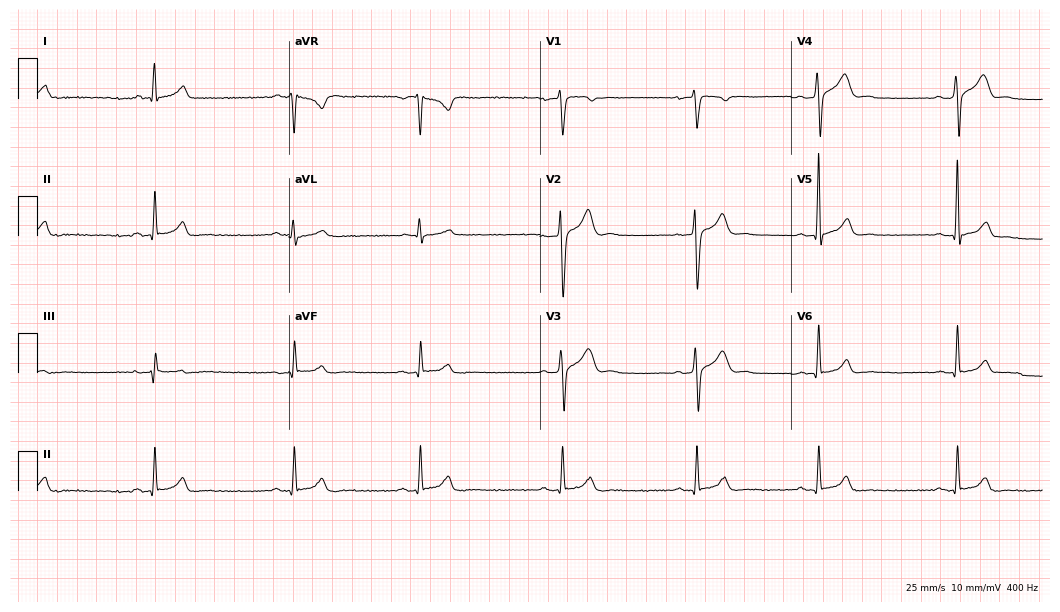
Standard 12-lead ECG recorded from a male, 38 years old. None of these six findings is recorded: first-degree AV block, right bundle branch block, left bundle branch block, sinus bradycardia, atrial fibrillation, sinus tachycardia.